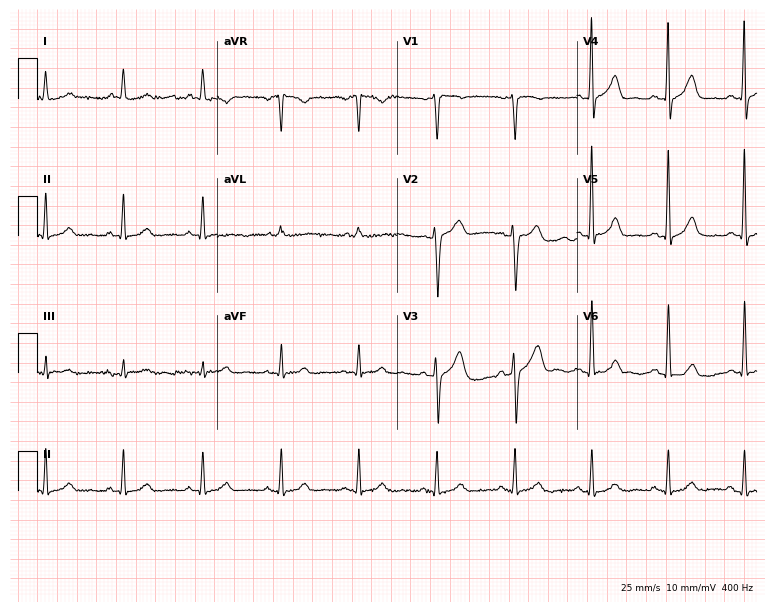
ECG (7.3-second recording at 400 Hz) — a 49-year-old man. Labelled as a normal ECG.